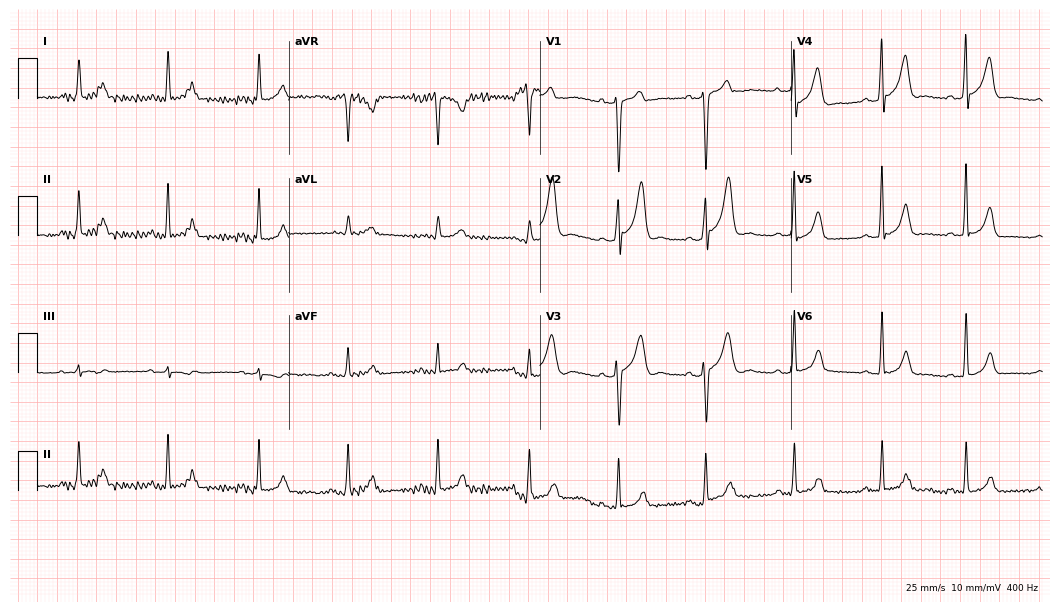
12-lead ECG from a 39-year-old male patient (10.2-second recording at 400 Hz). Recorded interpretation: within normal limits.